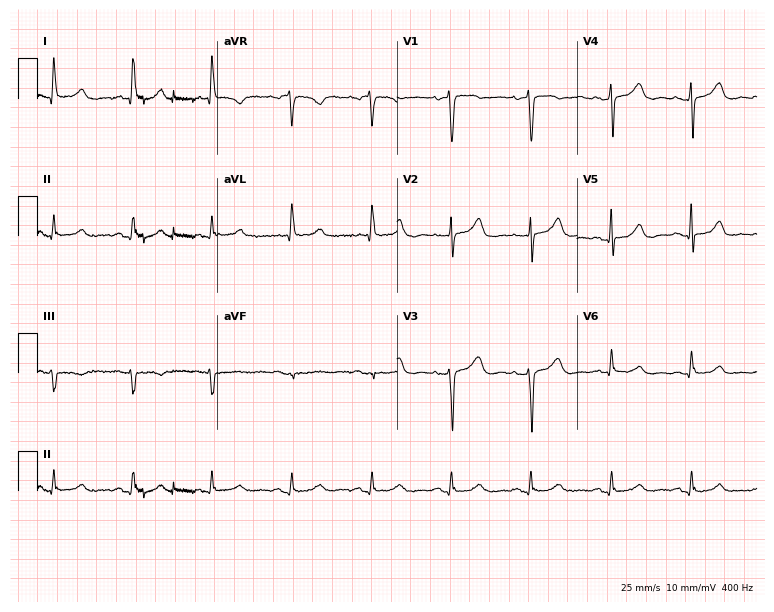
12-lead ECG from an 82-year-old female patient. Screened for six findings — first-degree AV block, right bundle branch block, left bundle branch block, sinus bradycardia, atrial fibrillation, sinus tachycardia — none is recorded.